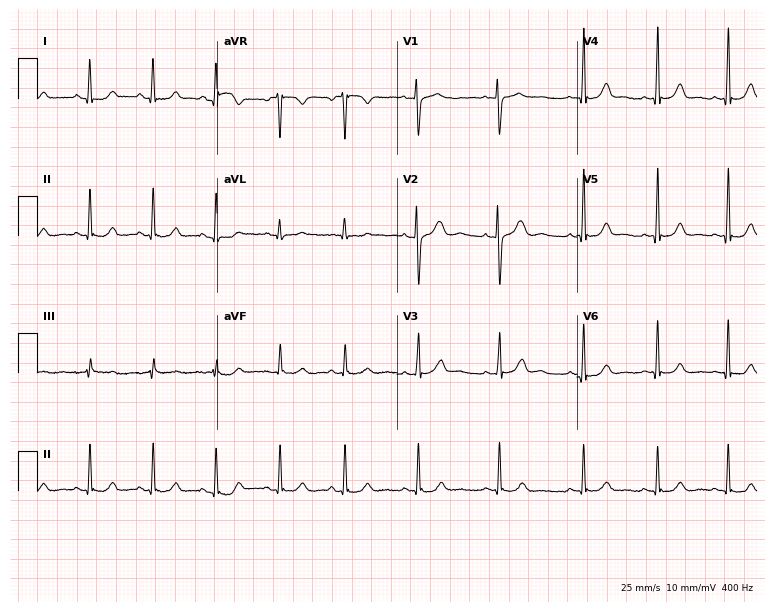
ECG (7.3-second recording at 400 Hz) — a 20-year-old female. Labelled as a normal ECG.